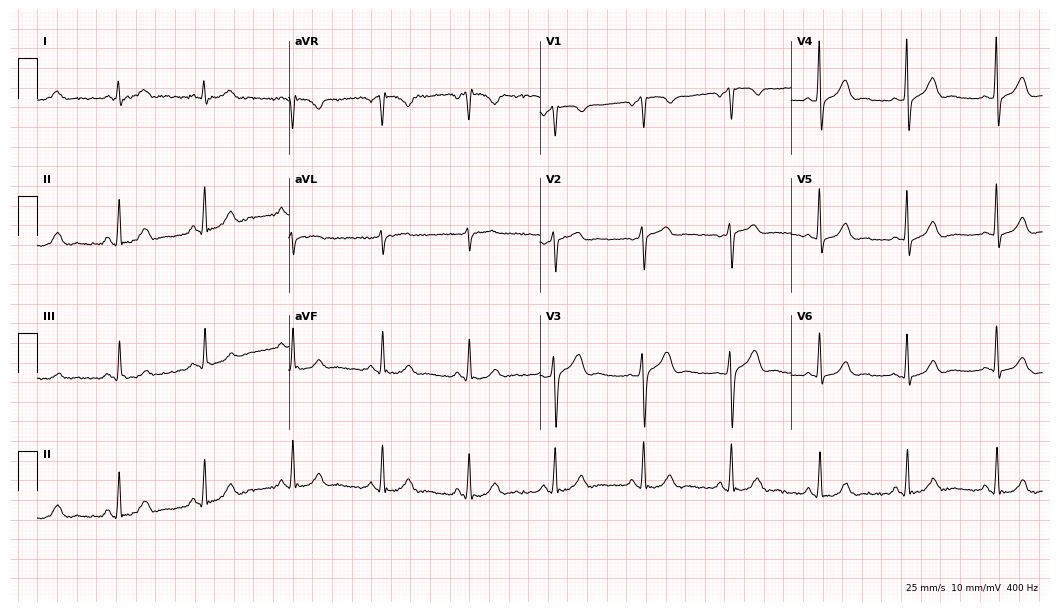
12-lead ECG (10.2-second recording at 400 Hz) from a 46-year-old man. Labelled as a normal ECG.